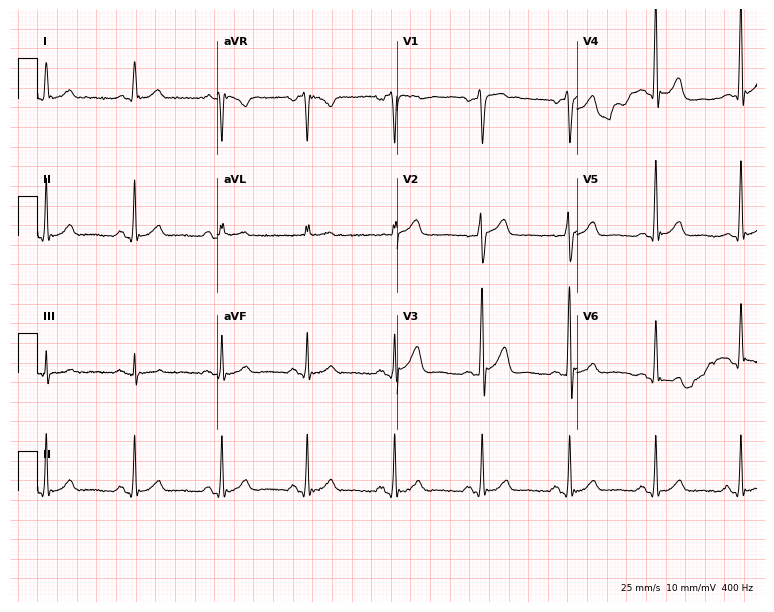
Standard 12-lead ECG recorded from a male, 67 years old (7.3-second recording at 400 Hz). None of these six findings is recorded: first-degree AV block, right bundle branch block (RBBB), left bundle branch block (LBBB), sinus bradycardia, atrial fibrillation (AF), sinus tachycardia.